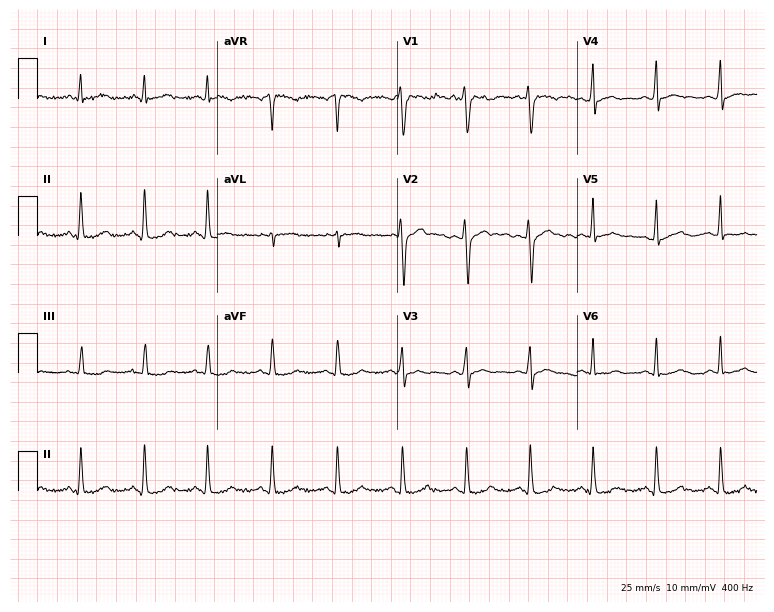
ECG — a man, 26 years old. Screened for six findings — first-degree AV block, right bundle branch block (RBBB), left bundle branch block (LBBB), sinus bradycardia, atrial fibrillation (AF), sinus tachycardia — none is recorded. Other findings, if any, are not listed.